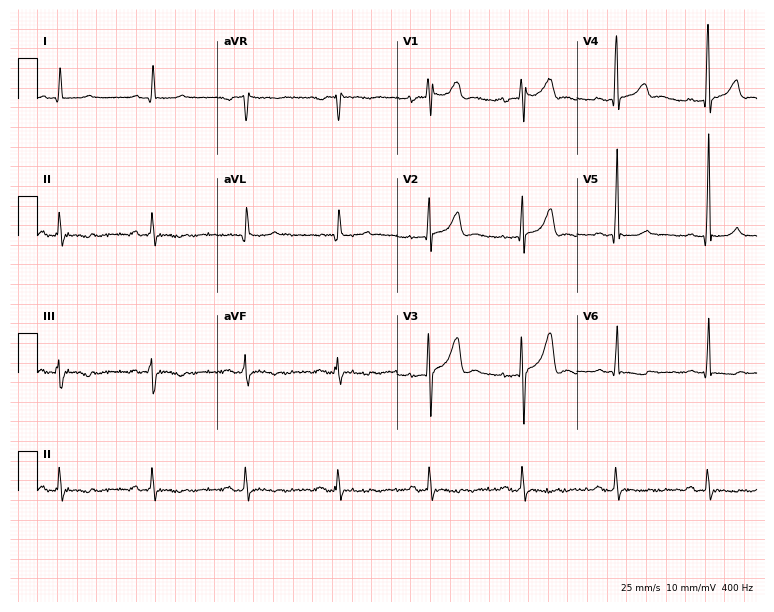
Electrocardiogram (7.3-second recording at 400 Hz), a male patient, 33 years old. Overall reading on record: normal ECG.